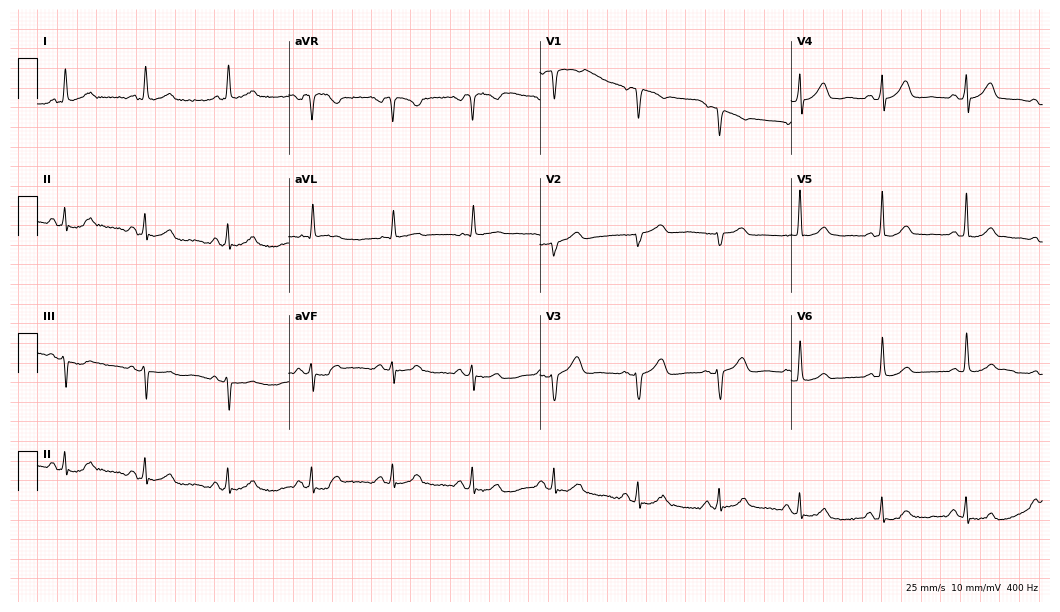
Electrocardiogram, a female, 73 years old. Overall reading on record: normal ECG.